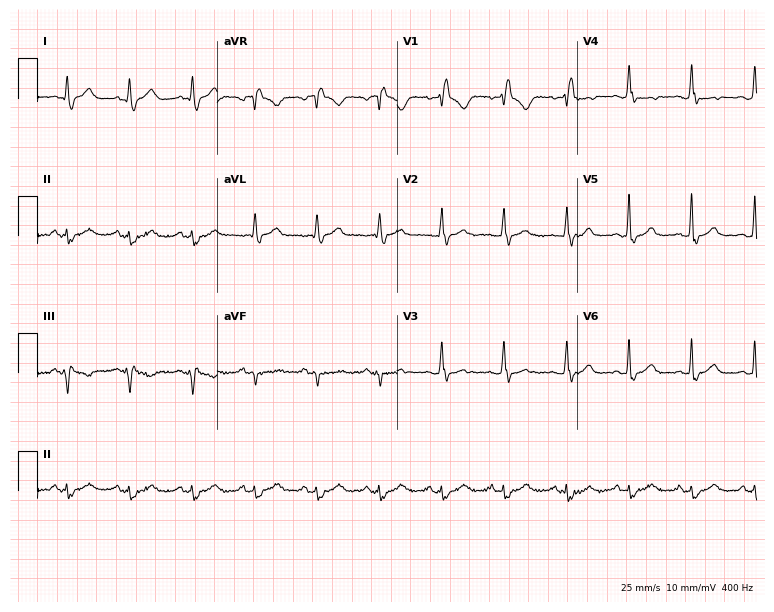
Resting 12-lead electrocardiogram. Patient: a female, 39 years old. The tracing shows right bundle branch block.